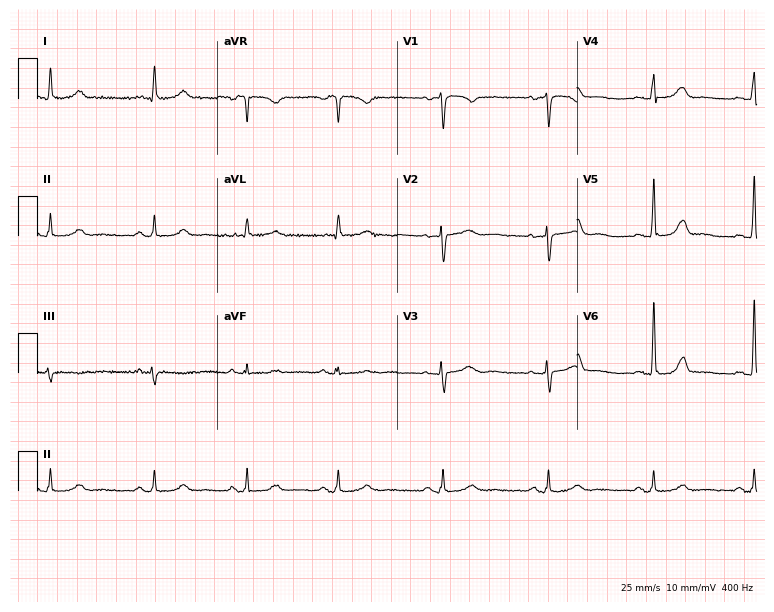
12-lead ECG from a female patient, 41 years old. Labelled as a normal ECG.